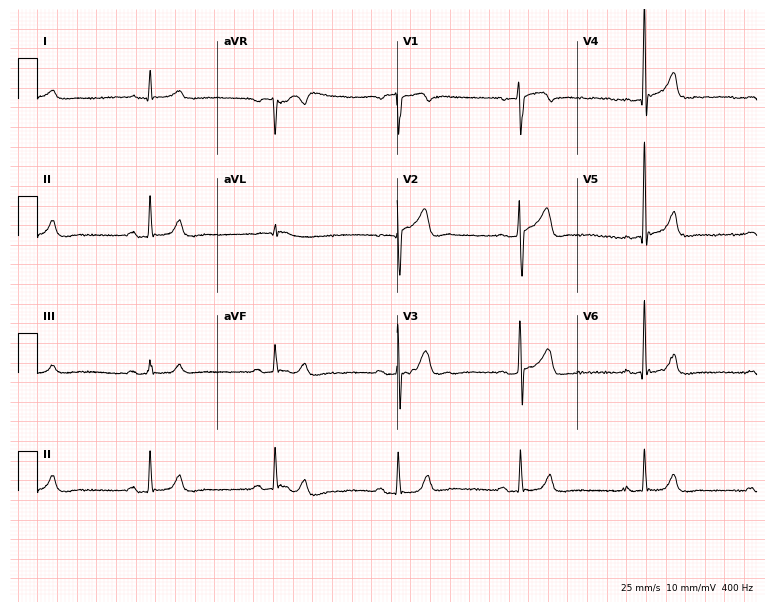
Standard 12-lead ECG recorded from a 72-year-old man (7.3-second recording at 400 Hz). The tracing shows first-degree AV block, sinus bradycardia (a sinus rate of 50 beats per minute or less).